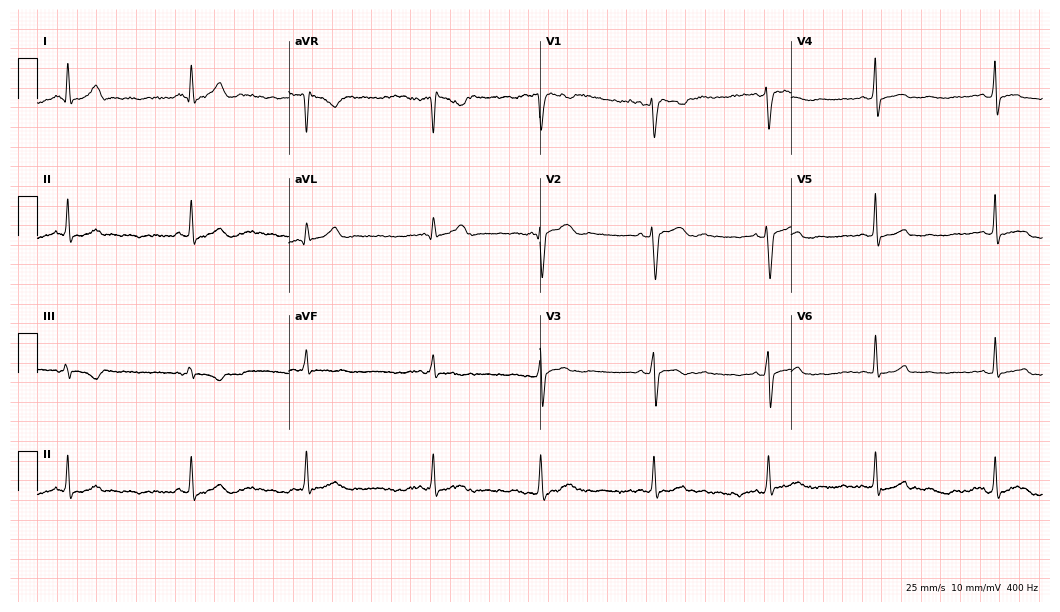
Standard 12-lead ECG recorded from a female patient, 36 years old. None of these six findings is recorded: first-degree AV block, right bundle branch block, left bundle branch block, sinus bradycardia, atrial fibrillation, sinus tachycardia. Findings outside these six are not listed.